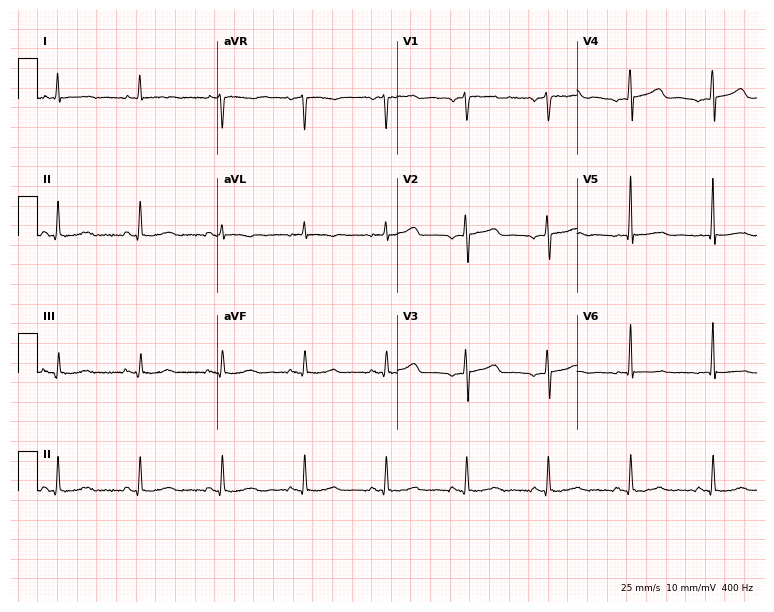
Standard 12-lead ECG recorded from a female, 40 years old. Read as a normal ECG.